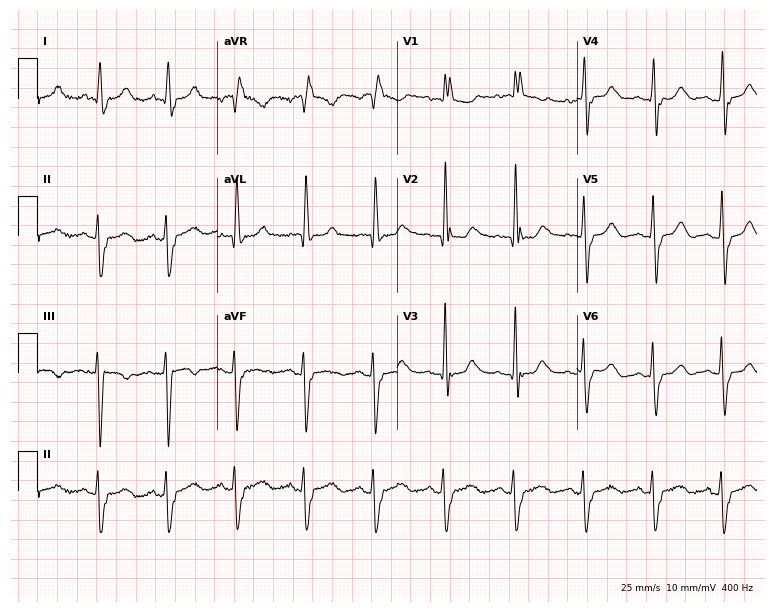
Standard 12-lead ECG recorded from a 64-year-old woman. The tracing shows right bundle branch block.